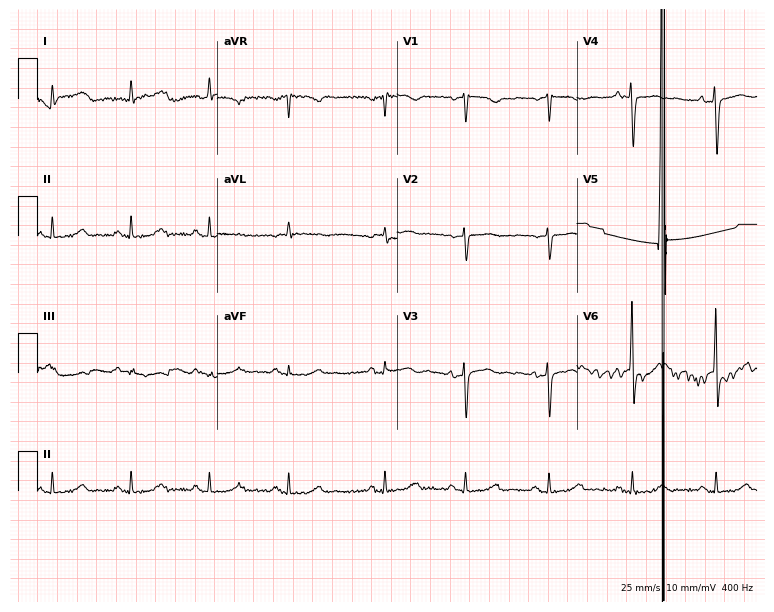
12-lead ECG (7.3-second recording at 400 Hz) from a female patient, 76 years old. Screened for six findings — first-degree AV block, right bundle branch block, left bundle branch block, sinus bradycardia, atrial fibrillation, sinus tachycardia — none is recorded.